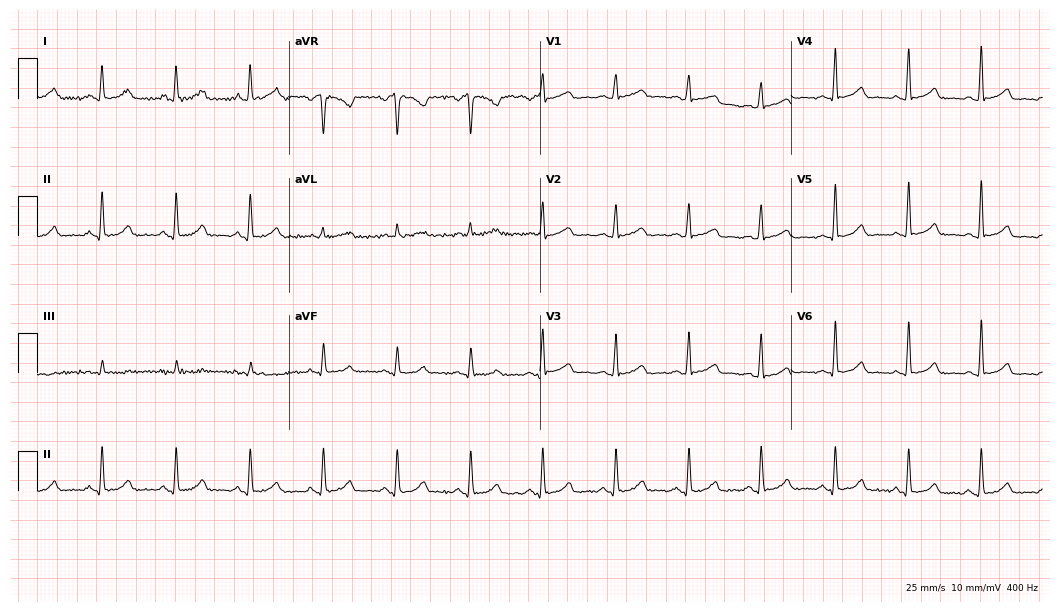
12-lead ECG from a 41-year-old woman. No first-degree AV block, right bundle branch block, left bundle branch block, sinus bradycardia, atrial fibrillation or sinus tachycardia recorded for this tracing. Other findings, if any, are not listed.